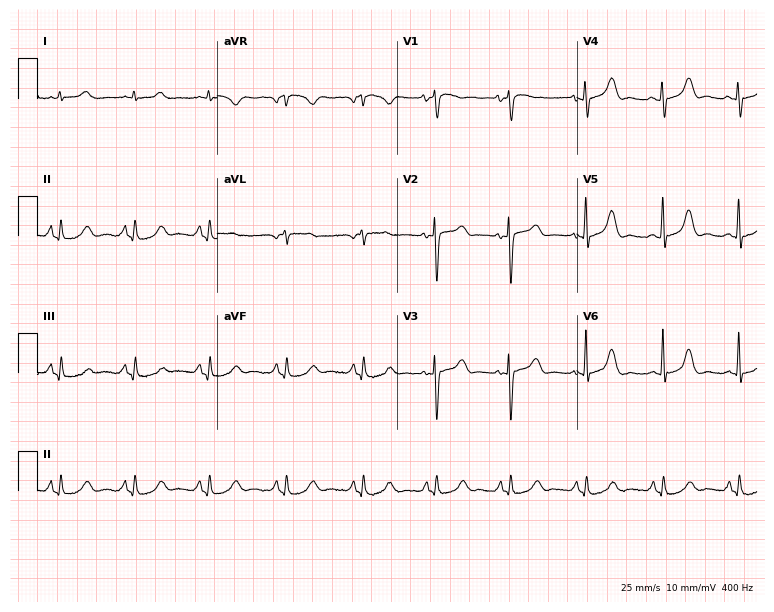
Resting 12-lead electrocardiogram (7.3-second recording at 400 Hz). Patient: a 70-year-old female. None of these six findings is recorded: first-degree AV block, right bundle branch block, left bundle branch block, sinus bradycardia, atrial fibrillation, sinus tachycardia.